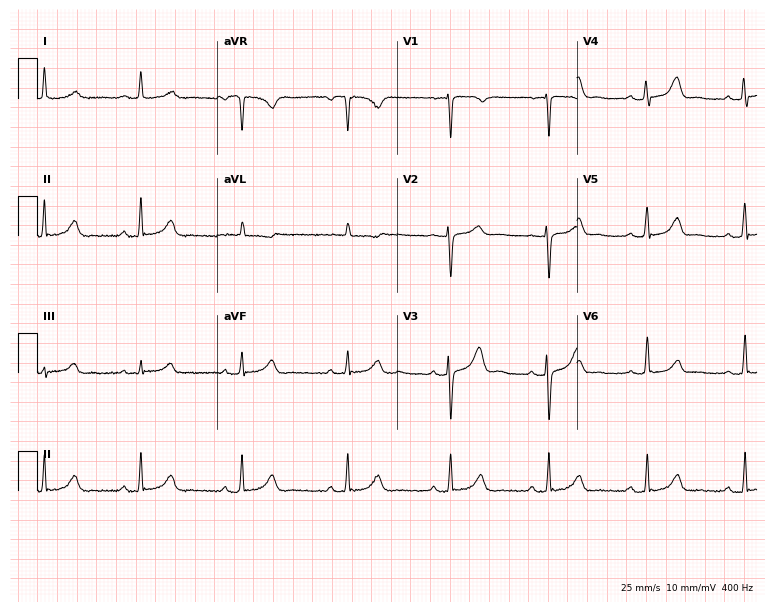
12-lead ECG from a 44-year-old woman. Labelled as a normal ECG.